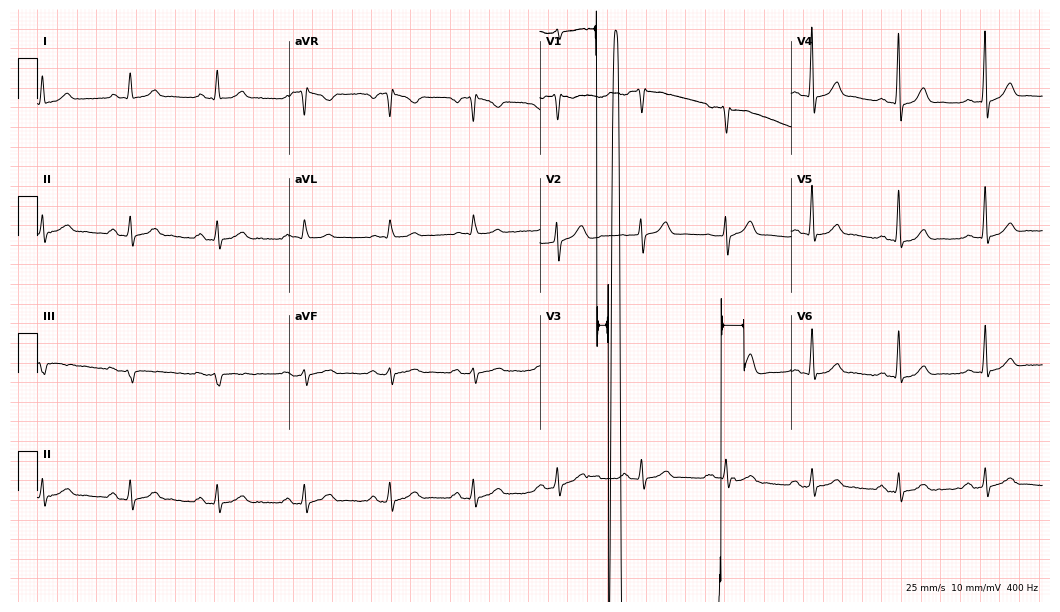
12-lead ECG from a man, 62 years old (10.2-second recording at 400 Hz). Recorded interpretation: within normal limits.